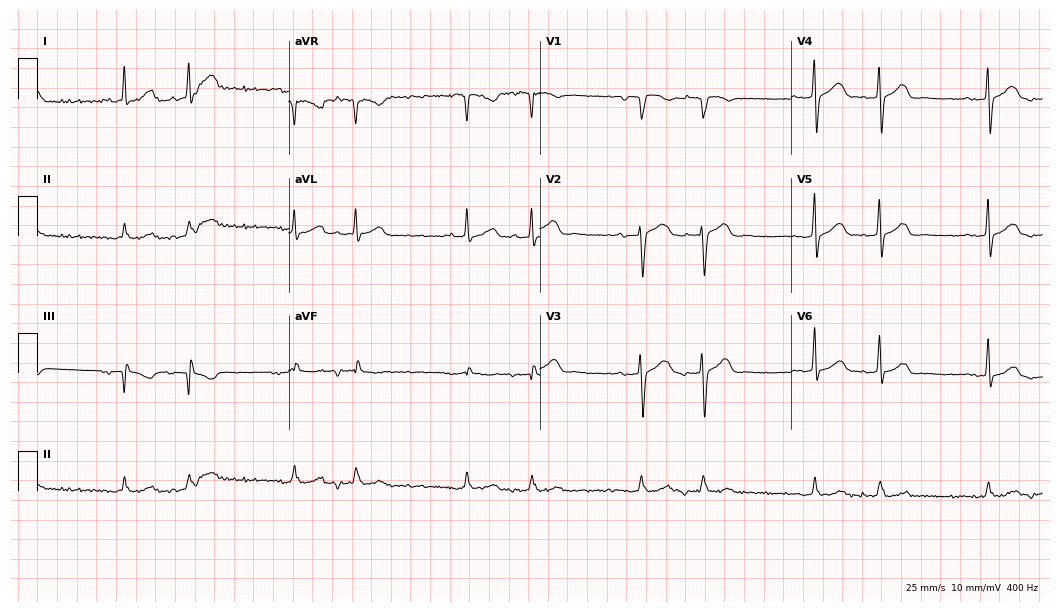
Electrocardiogram, a woman, 85 years old. Of the six screened findings (first-degree AV block, right bundle branch block (RBBB), left bundle branch block (LBBB), sinus bradycardia, atrial fibrillation (AF), sinus tachycardia), none is recorded. Only these six findings were labelled.